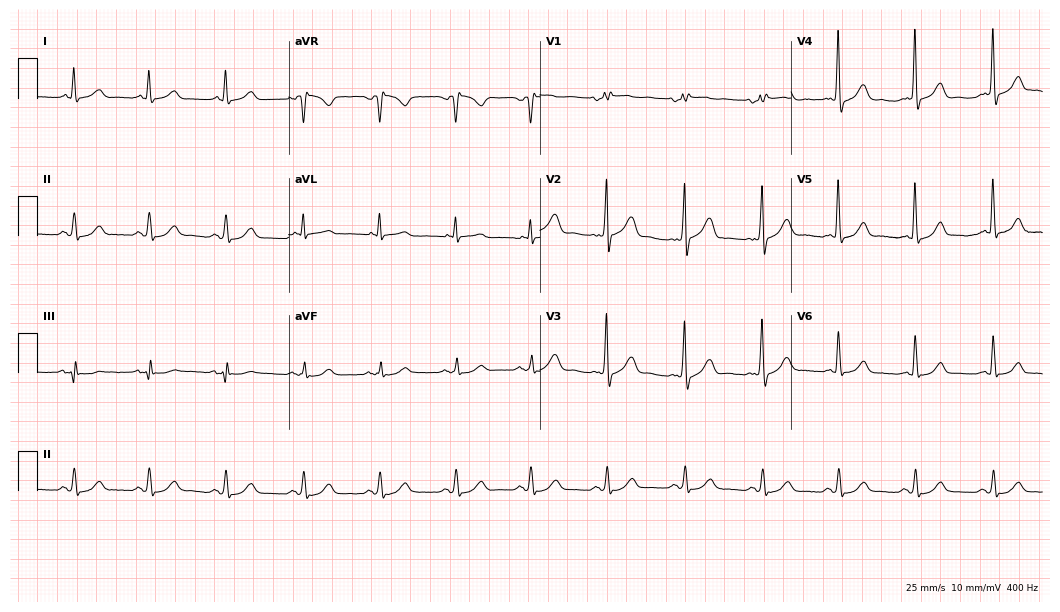
12-lead ECG (10.2-second recording at 400 Hz) from a 68-year-old male. Labelled as a normal ECG.